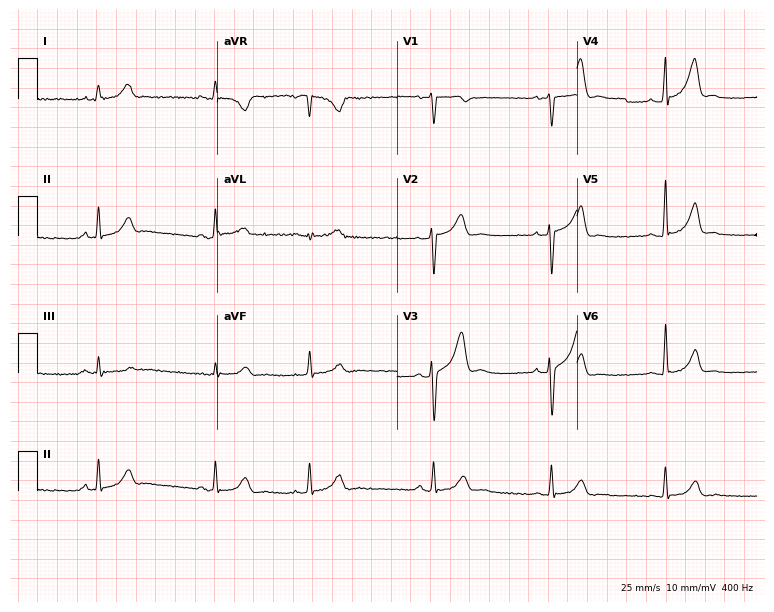
Standard 12-lead ECG recorded from a man, 32 years old (7.3-second recording at 400 Hz). None of these six findings is recorded: first-degree AV block, right bundle branch block (RBBB), left bundle branch block (LBBB), sinus bradycardia, atrial fibrillation (AF), sinus tachycardia. Only these six findings were labelled.